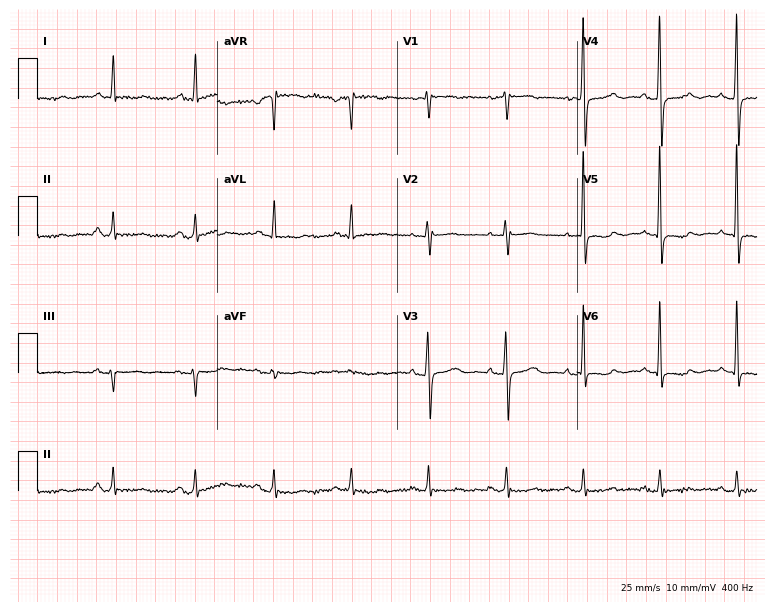
Standard 12-lead ECG recorded from a 77-year-old female patient (7.3-second recording at 400 Hz). None of these six findings is recorded: first-degree AV block, right bundle branch block, left bundle branch block, sinus bradycardia, atrial fibrillation, sinus tachycardia. Only these six findings were labelled.